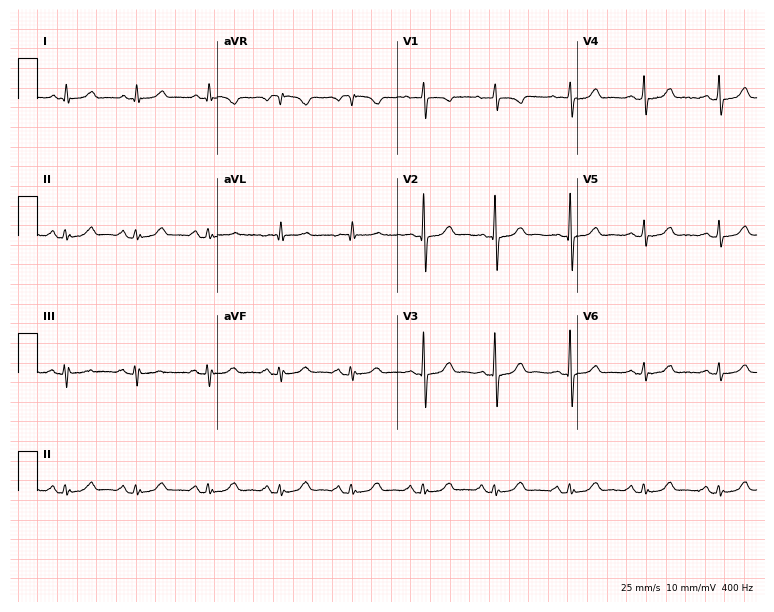
12-lead ECG from a 76-year-old female patient (7.3-second recording at 400 Hz). Recorded interpretation: within normal limits.